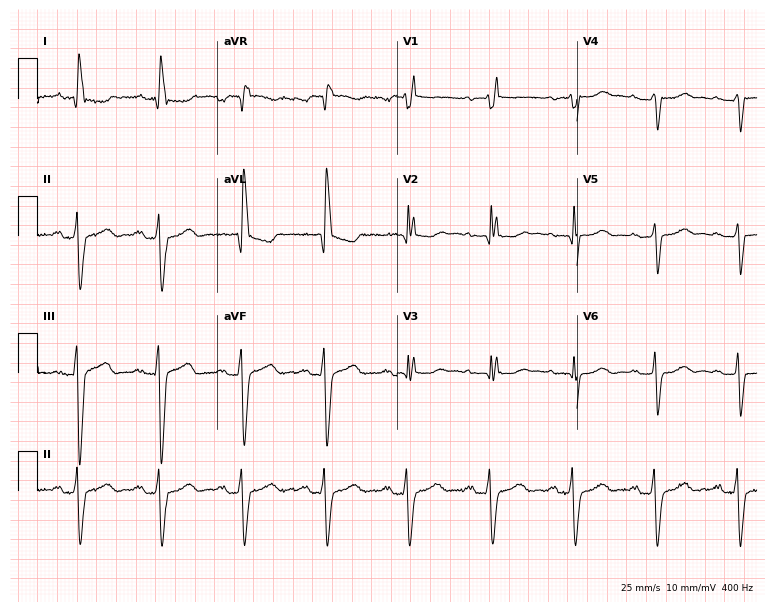
Resting 12-lead electrocardiogram. Patient: an 85-year-old female. The tracing shows first-degree AV block, right bundle branch block.